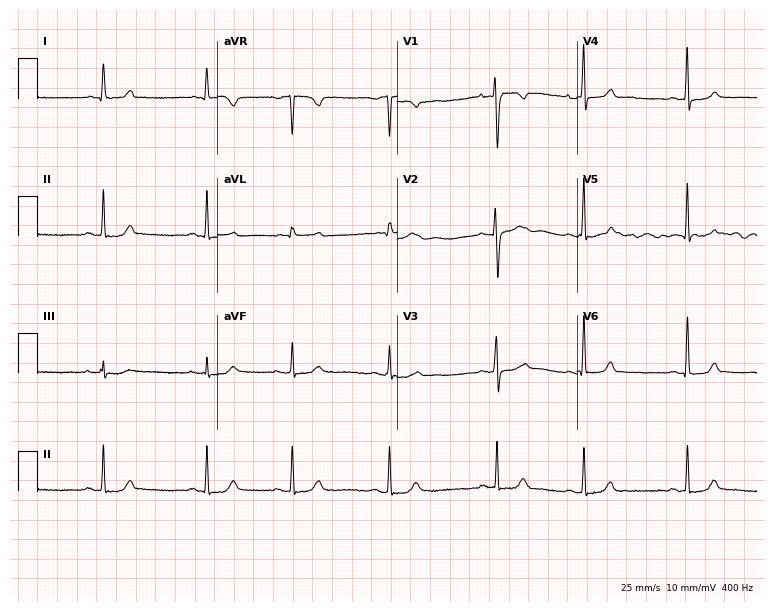
Resting 12-lead electrocardiogram (7.3-second recording at 400 Hz). Patient: a female, 29 years old. Read as a normal ECG.